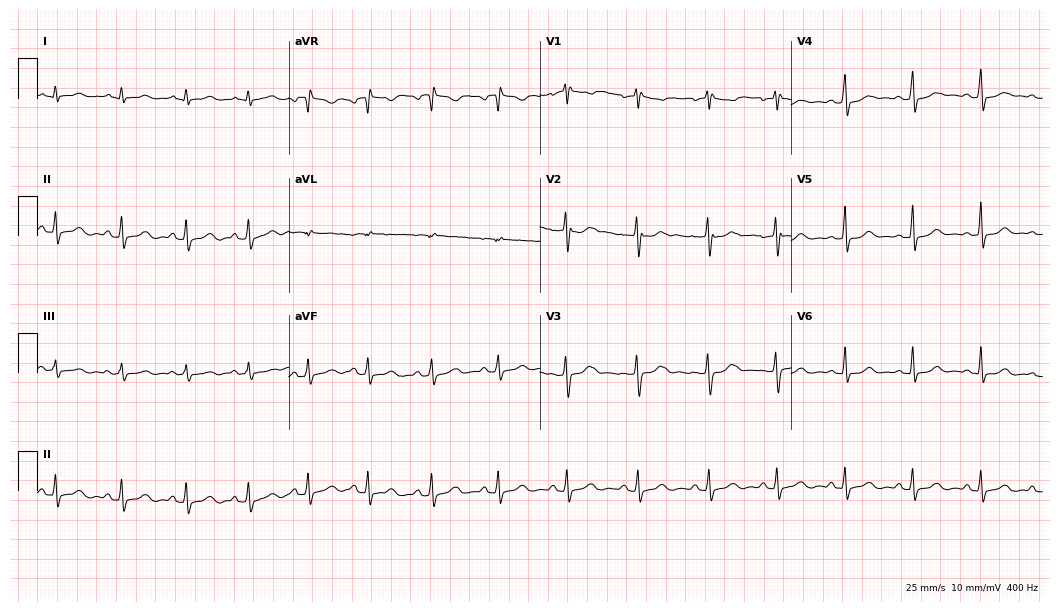
12-lead ECG from a woman, 22 years old (10.2-second recording at 400 Hz). Recorded interpretation: within normal limits.